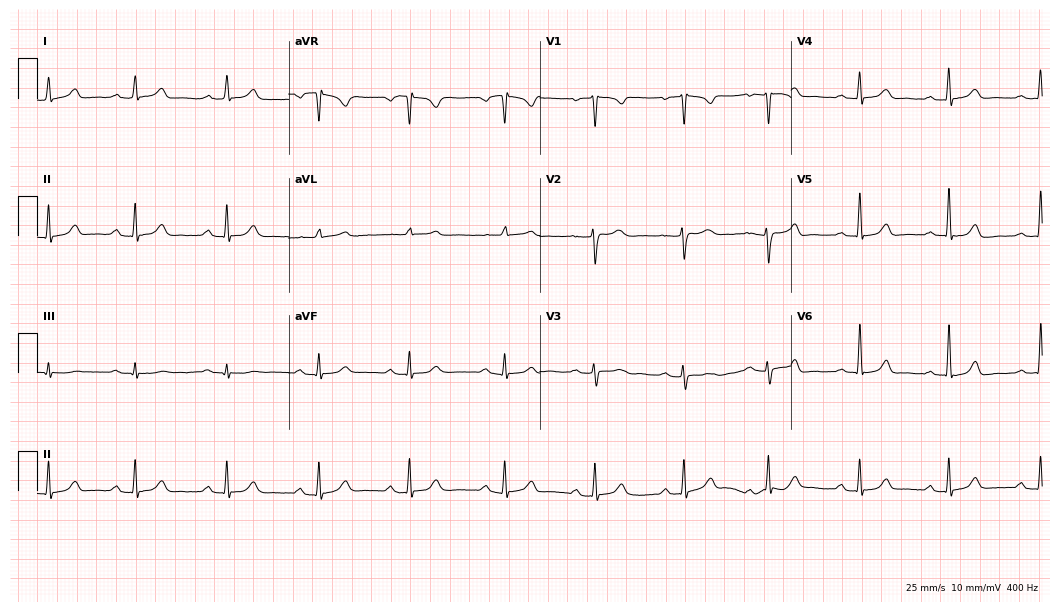
Resting 12-lead electrocardiogram. Patient: a female, 23 years old. Read as a normal ECG.